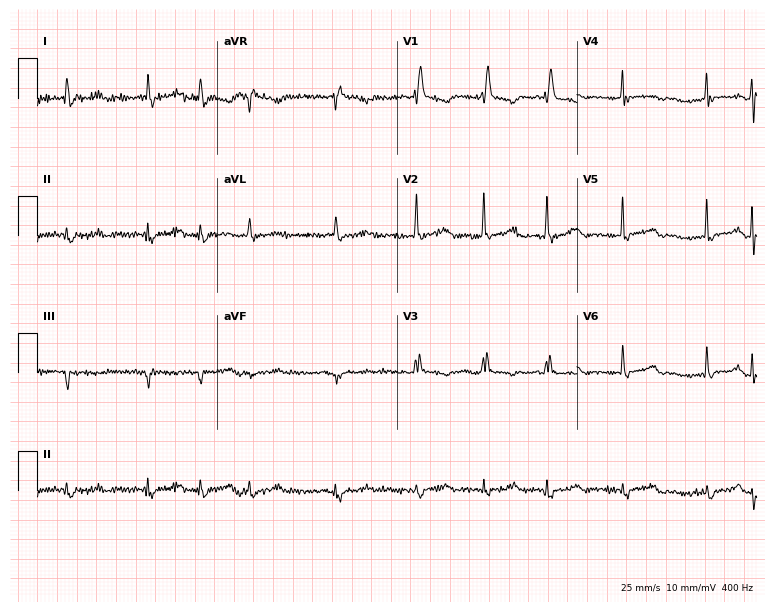
ECG (7.3-second recording at 400 Hz) — a male, 83 years old. Screened for six findings — first-degree AV block, right bundle branch block, left bundle branch block, sinus bradycardia, atrial fibrillation, sinus tachycardia — none is recorded. Only these six findings were labelled.